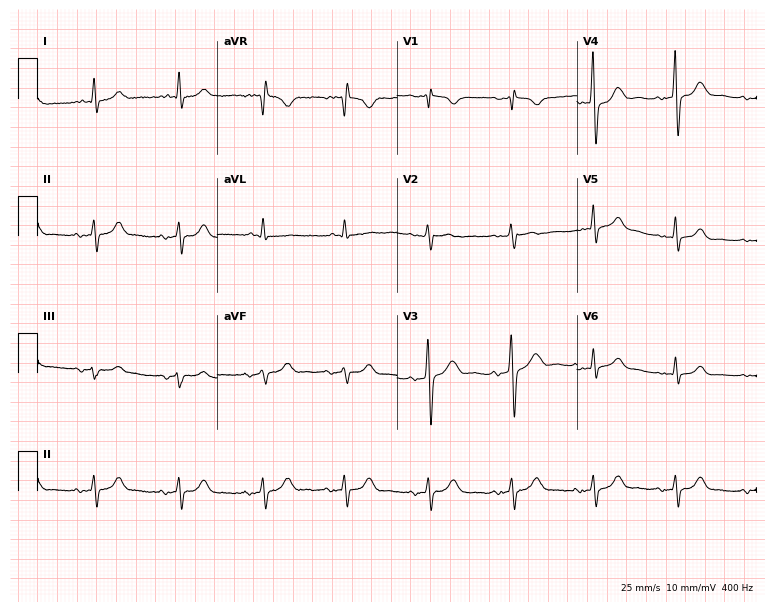
Standard 12-lead ECG recorded from a man, 78 years old (7.3-second recording at 400 Hz). None of these six findings is recorded: first-degree AV block, right bundle branch block, left bundle branch block, sinus bradycardia, atrial fibrillation, sinus tachycardia. Findings outside these six are not listed.